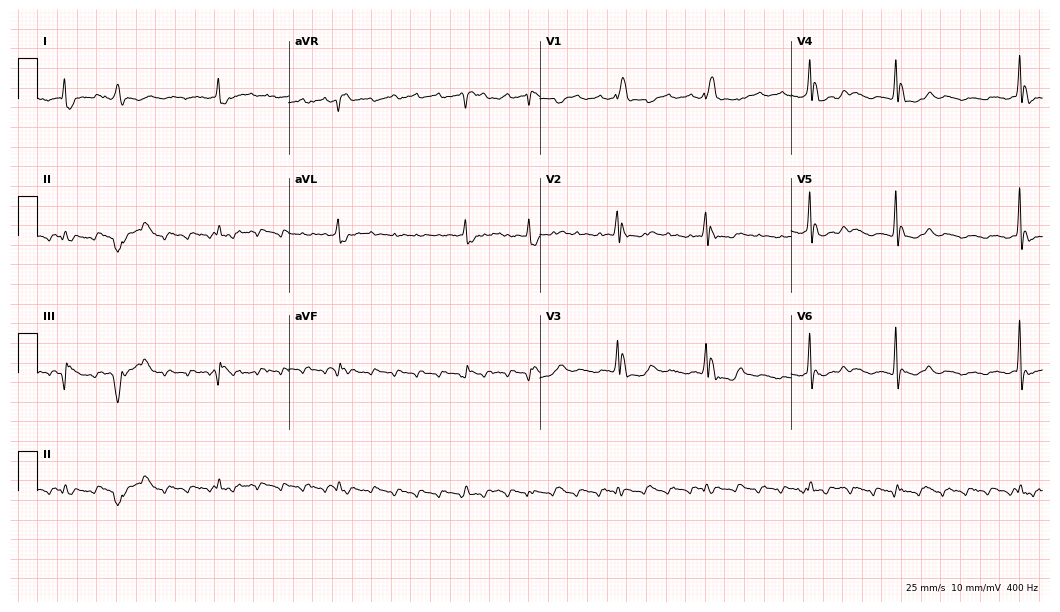
ECG (10.2-second recording at 400 Hz) — an 84-year-old man. Findings include right bundle branch block.